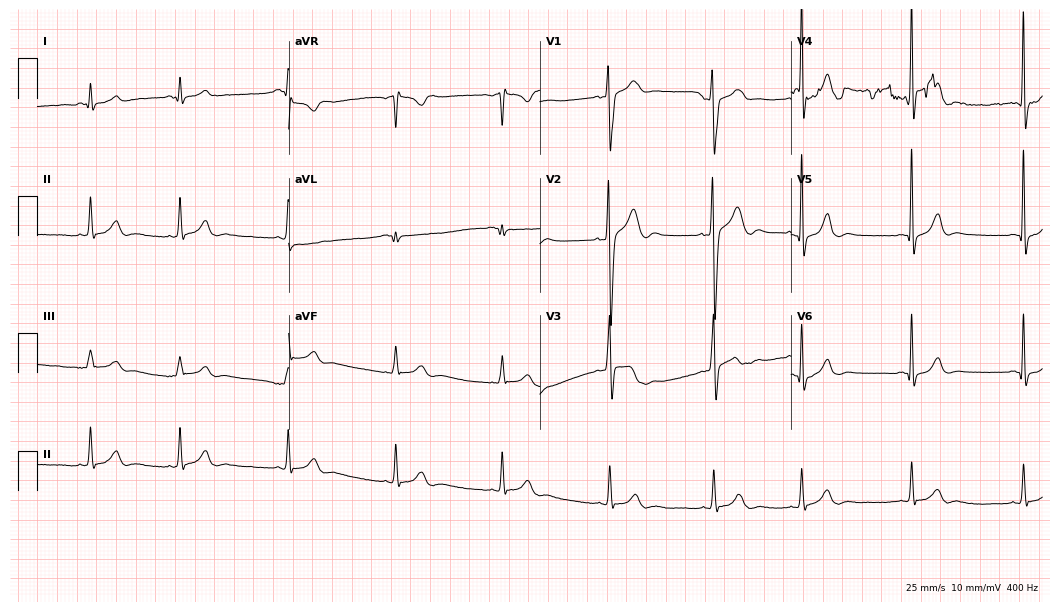
12-lead ECG (10.2-second recording at 400 Hz) from a male patient, 17 years old. Labelled as a normal ECG.